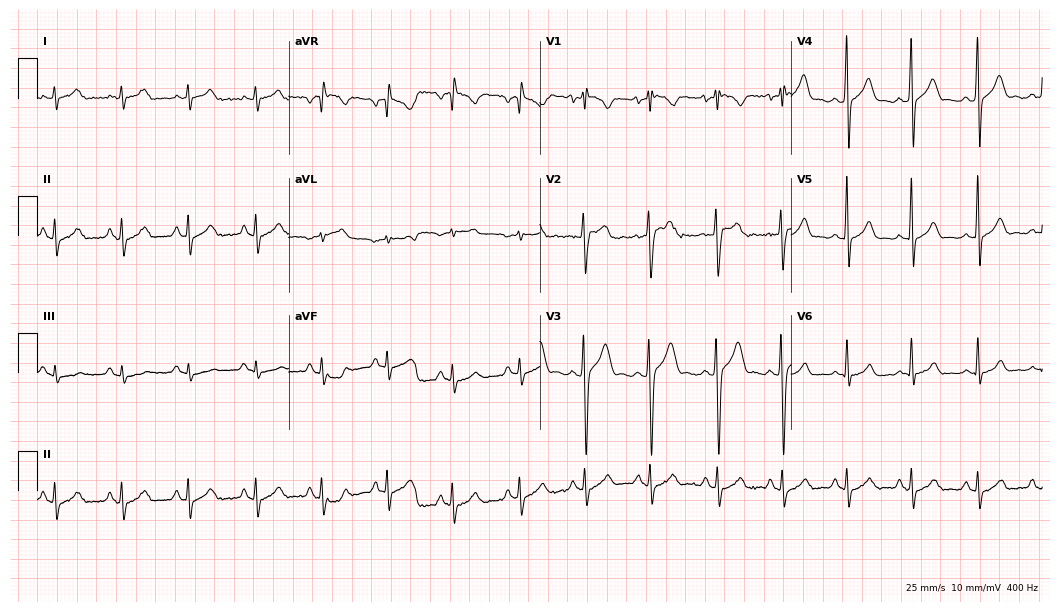
Standard 12-lead ECG recorded from a 25-year-old male patient (10.2-second recording at 400 Hz). None of these six findings is recorded: first-degree AV block, right bundle branch block (RBBB), left bundle branch block (LBBB), sinus bradycardia, atrial fibrillation (AF), sinus tachycardia.